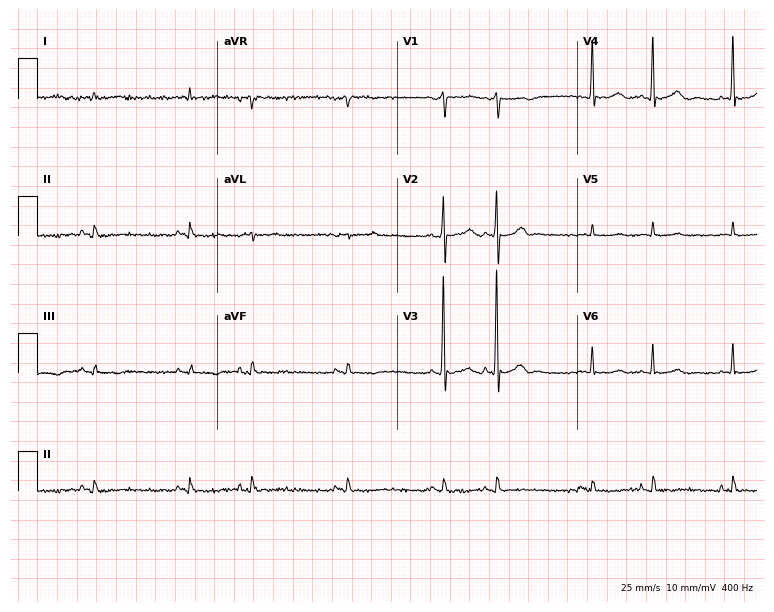
12-lead ECG from a male, 73 years old. Screened for six findings — first-degree AV block, right bundle branch block, left bundle branch block, sinus bradycardia, atrial fibrillation, sinus tachycardia — none is recorded. Other findings, if any, are not listed.